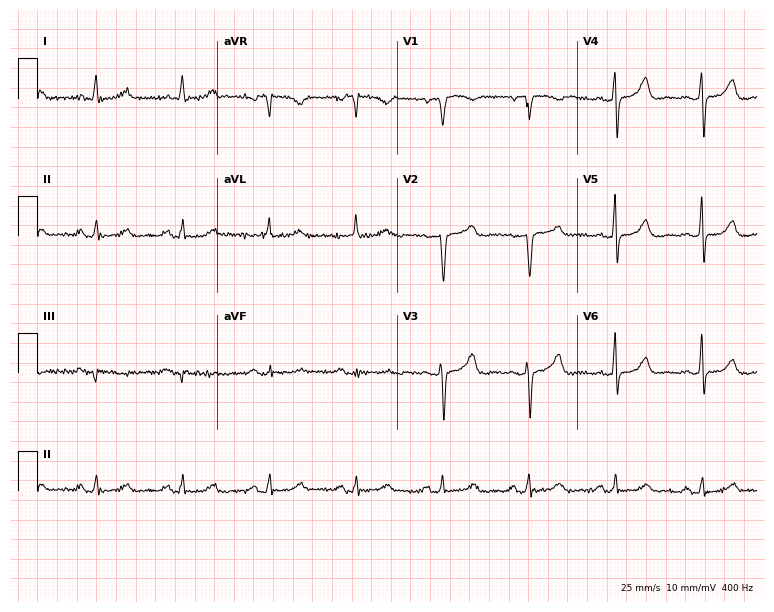
12-lead ECG from a female, 60 years old. Recorded interpretation: within normal limits.